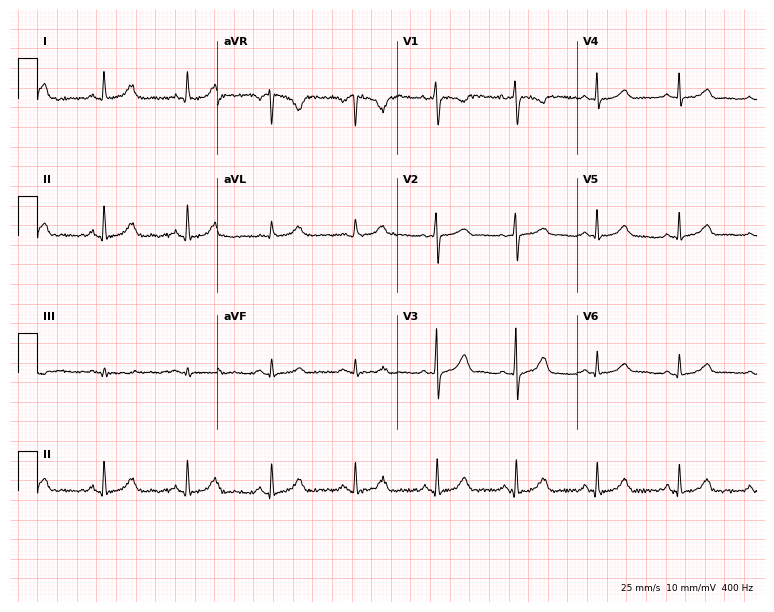
12-lead ECG (7.3-second recording at 400 Hz) from a 38-year-old female patient. Labelled as a normal ECG.